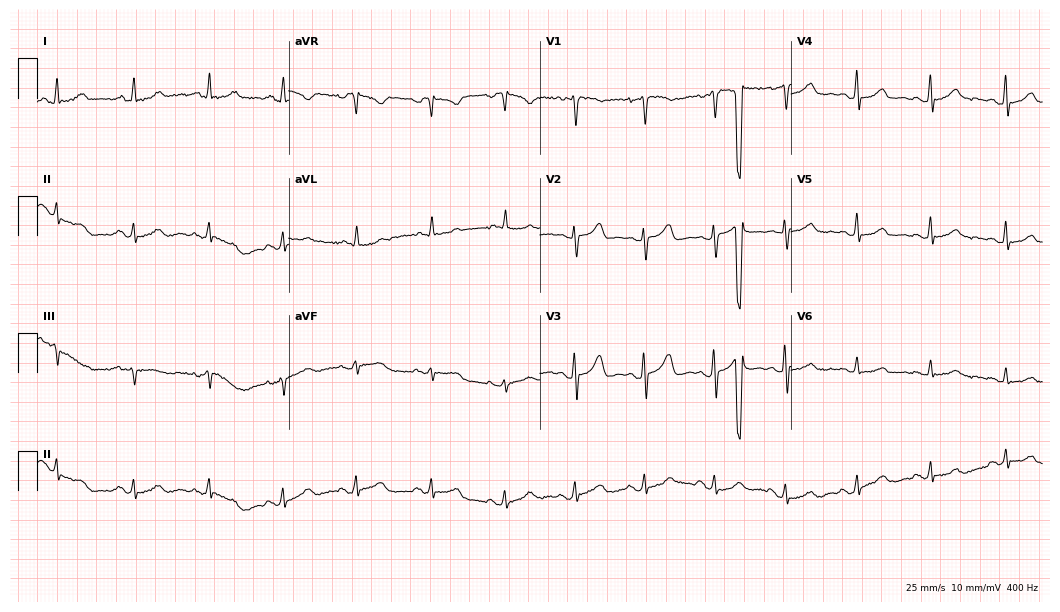
12-lead ECG (10.2-second recording at 400 Hz) from a woman, 36 years old. Labelled as a normal ECG.